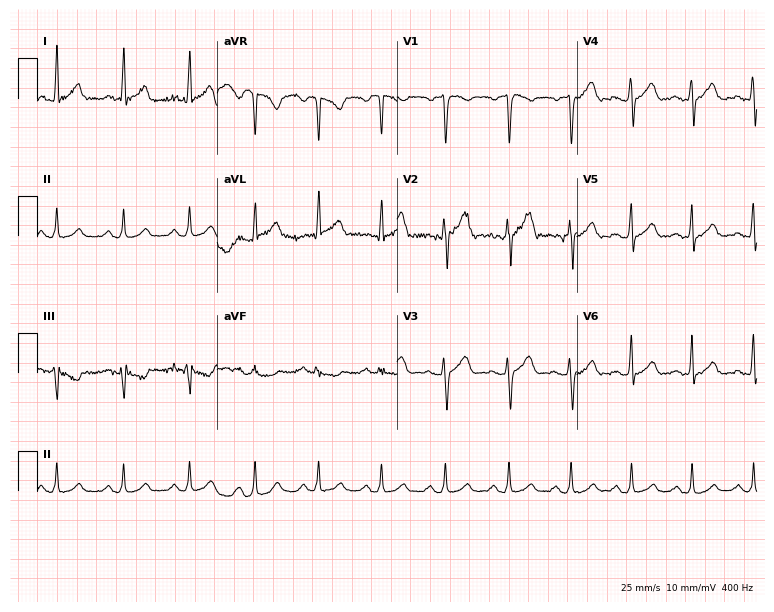
12-lead ECG from a male, 39 years old. Labelled as a normal ECG.